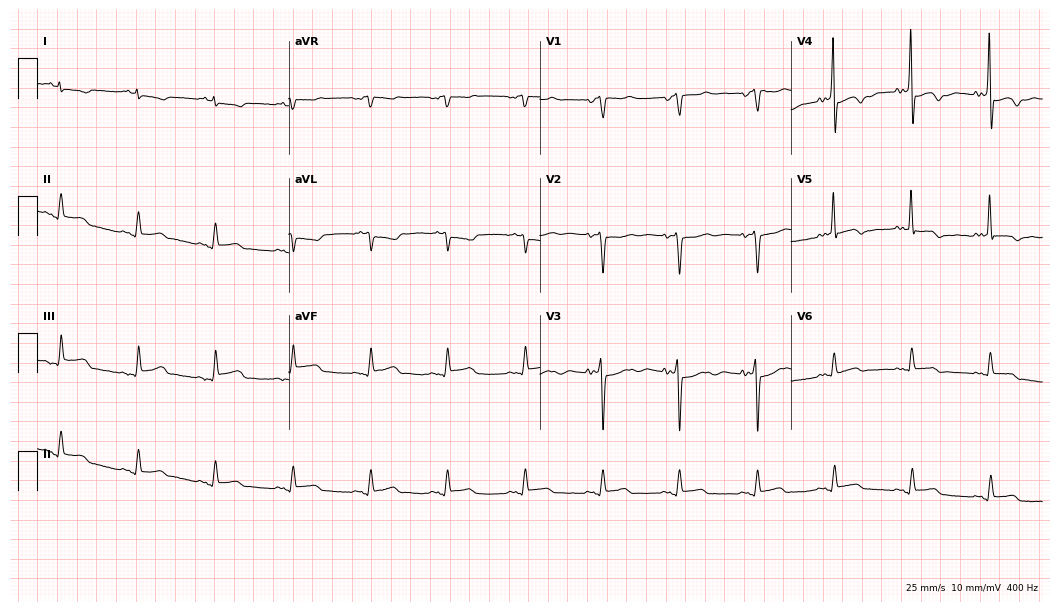
Standard 12-lead ECG recorded from a male patient, 64 years old. None of these six findings is recorded: first-degree AV block, right bundle branch block, left bundle branch block, sinus bradycardia, atrial fibrillation, sinus tachycardia.